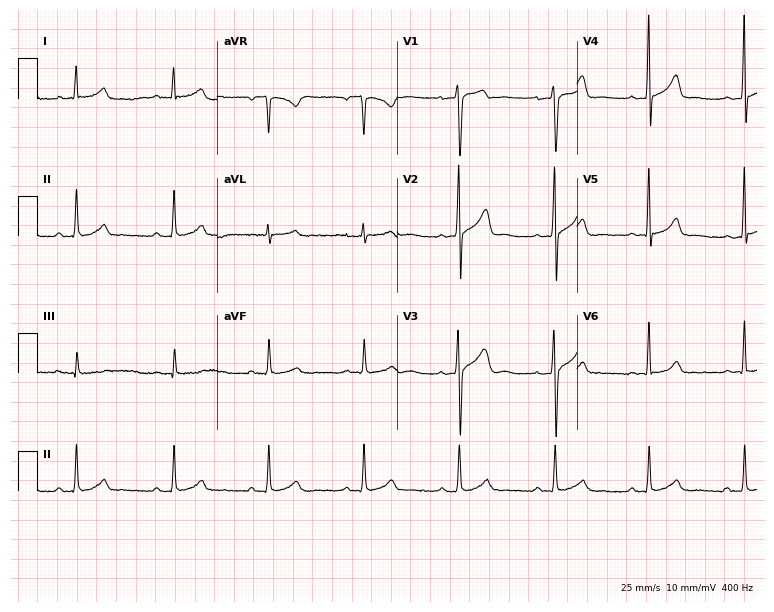
12-lead ECG (7.3-second recording at 400 Hz) from a man, 51 years old. Labelled as a normal ECG.